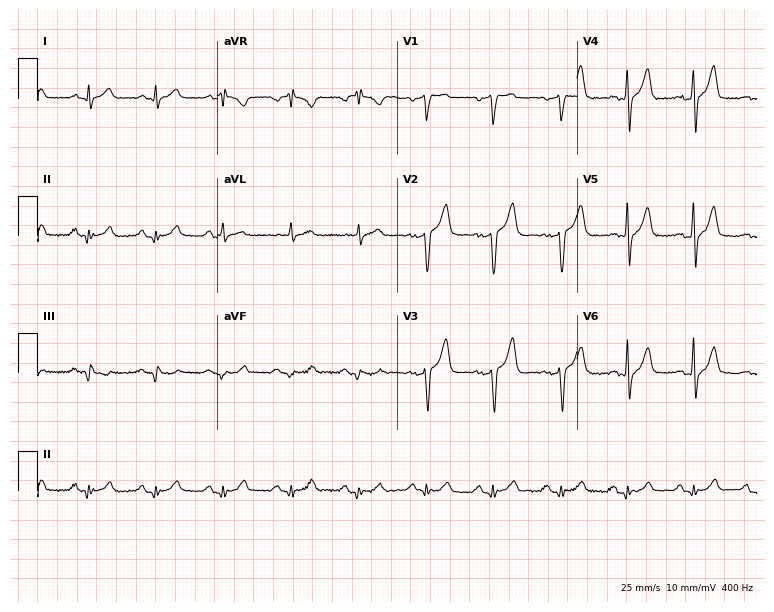
Standard 12-lead ECG recorded from a male patient, 50 years old (7.3-second recording at 400 Hz). None of these six findings is recorded: first-degree AV block, right bundle branch block, left bundle branch block, sinus bradycardia, atrial fibrillation, sinus tachycardia.